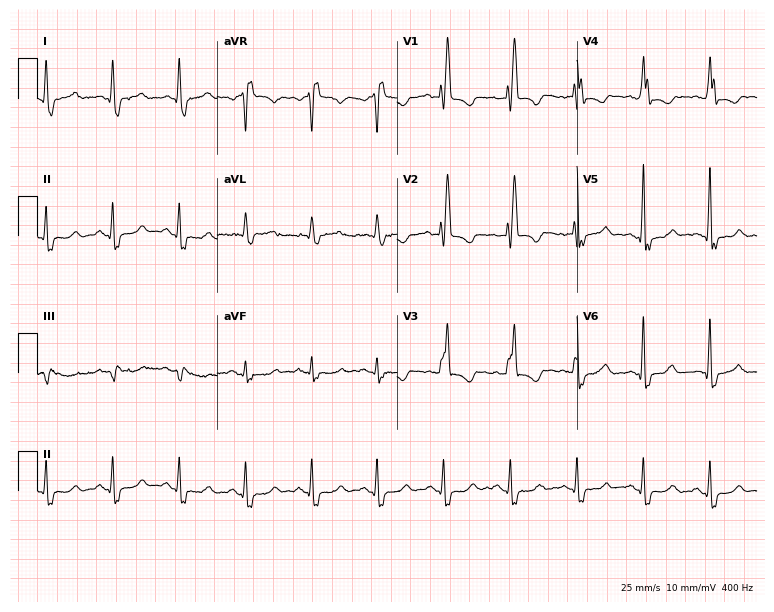
12-lead ECG from a female, 56 years old (7.3-second recording at 400 Hz). Shows right bundle branch block.